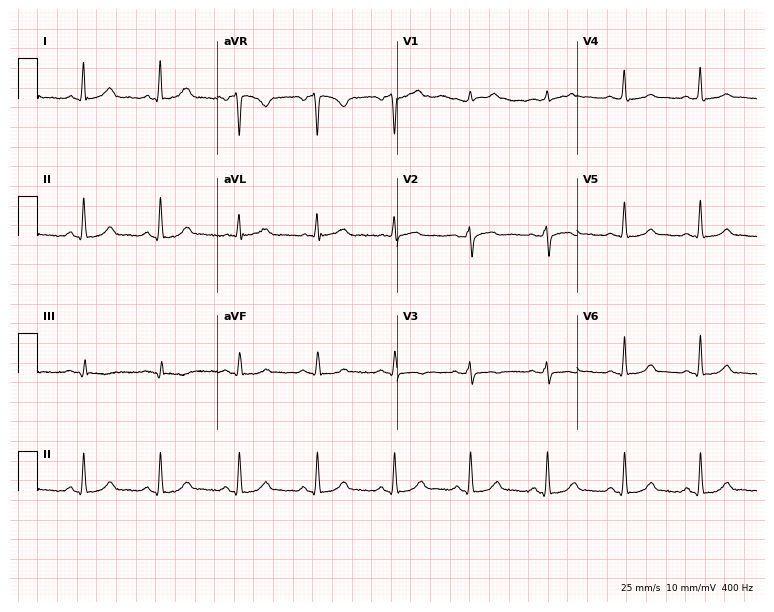
Resting 12-lead electrocardiogram. Patient: a female, 40 years old. Read as a normal ECG.